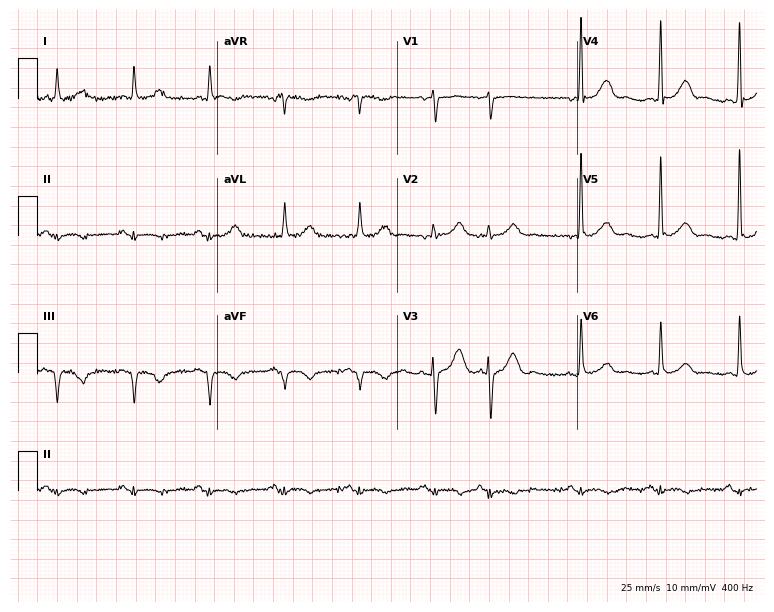
Standard 12-lead ECG recorded from a male, 82 years old. None of these six findings is recorded: first-degree AV block, right bundle branch block (RBBB), left bundle branch block (LBBB), sinus bradycardia, atrial fibrillation (AF), sinus tachycardia.